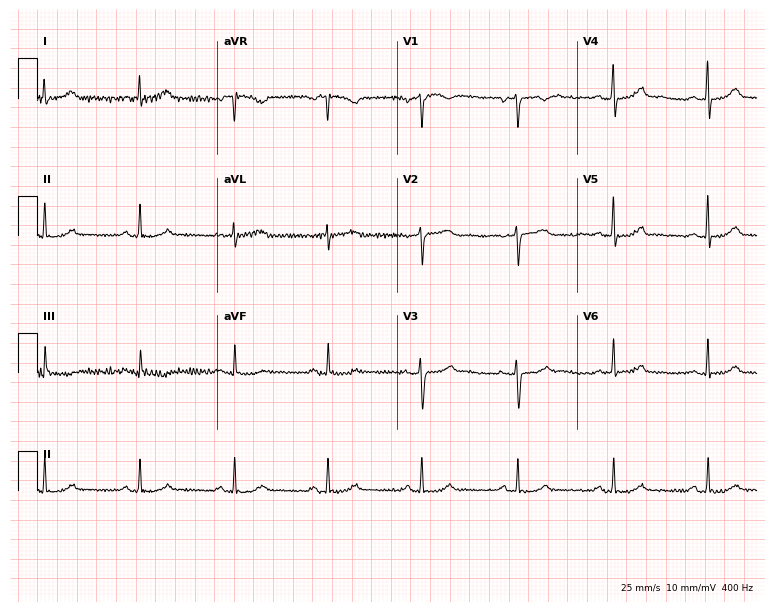
Resting 12-lead electrocardiogram (7.3-second recording at 400 Hz). Patient: a woman, 60 years old. None of these six findings is recorded: first-degree AV block, right bundle branch block, left bundle branch block, sinus bradycardia, atrial fibrillation, sinus tachycardia. Only these six findings were labelled.